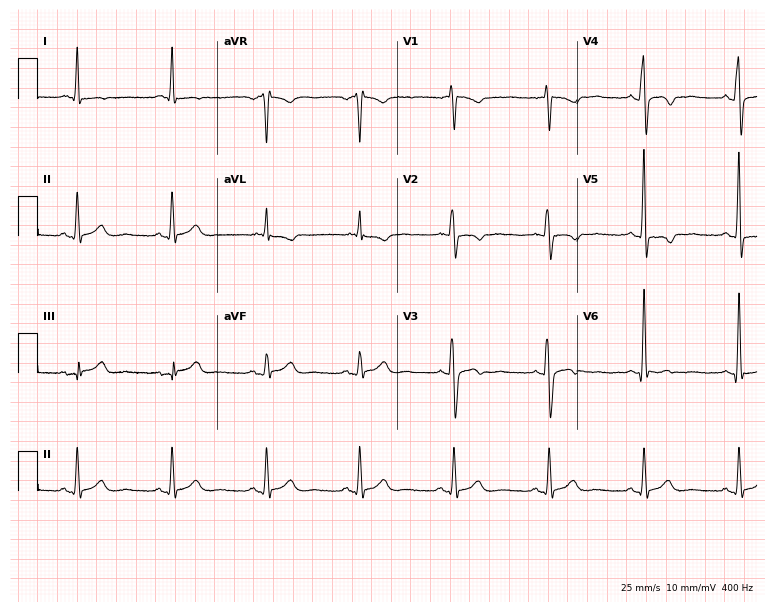
ECG (7.3-second recording at 400 Hz) — a man, 44 years old. Screened for six findings — first-degree AV block, right bundle branch block, left bundle branch block, sinus bradycardia, atrial fibrillation, sinus tachycardia — none is recorded.